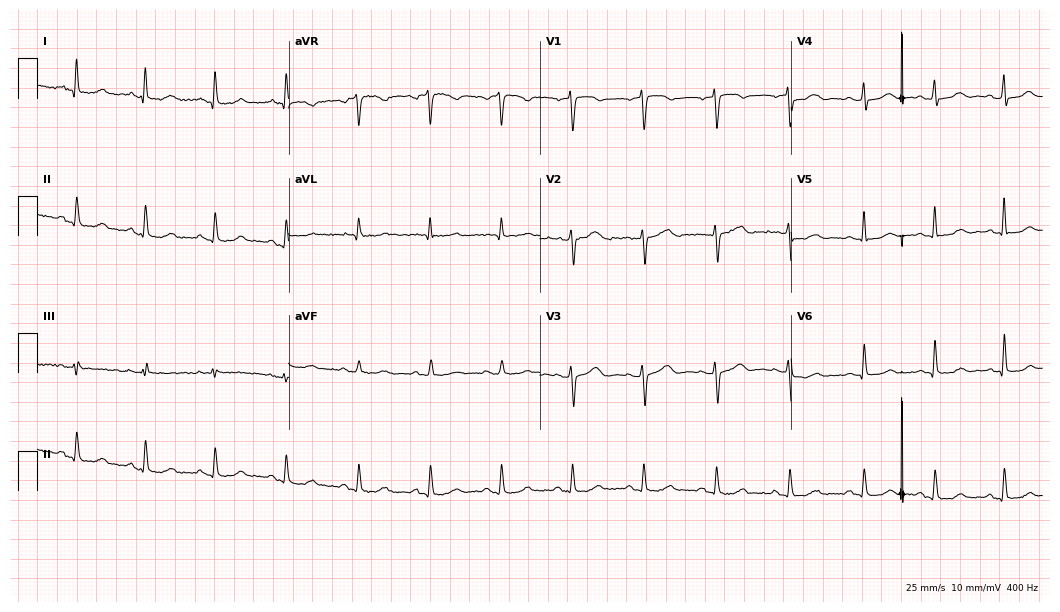
ECG (10.2-second recording at 400 Hz) — a 48-year-old female. Labelled as a normal ECG.